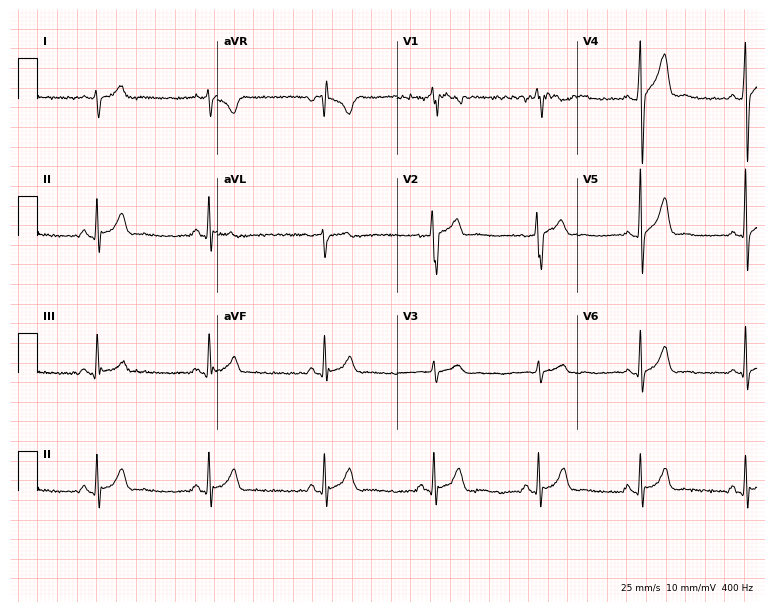
Electrocardiogram (7.3-second recording at 400 Hz), a male patient, 26 years old. Of the six screened findings (first-degree AV block, right bundle branch block (RBBB), left bundle branch block (LBBB), sinus bradycardia, atrial fibrillation (AF), sinus tachycardia), none is recorded.